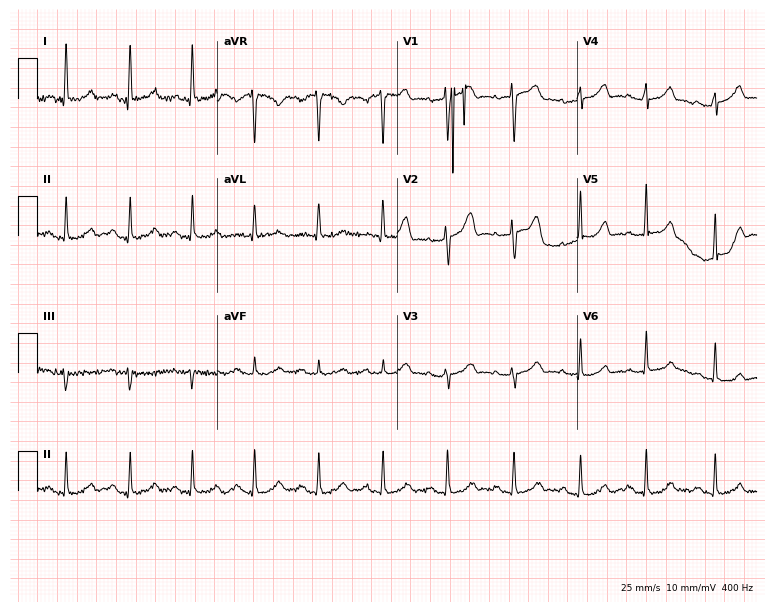
Standard 12-lead ECG recorded from a 57-year-old female. Read as a normal ECG.